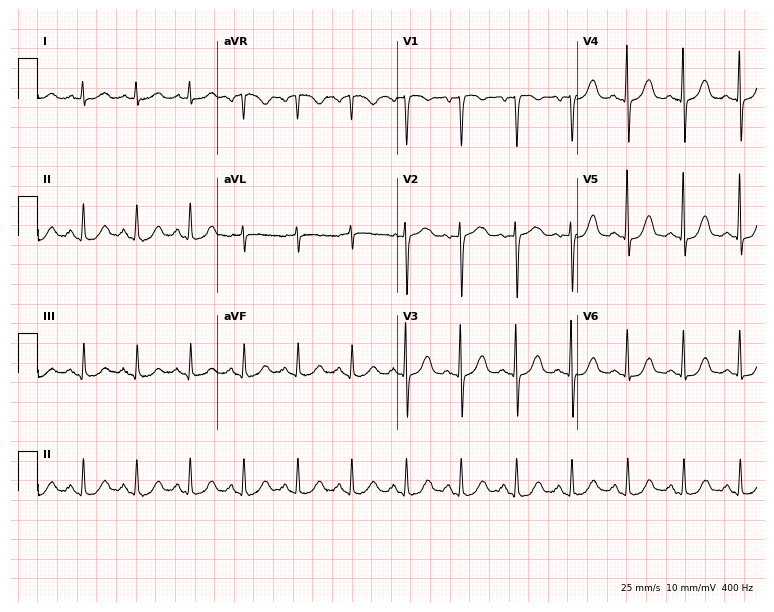
Standard 12-lead ECG recorded from a female, 53 years old. The tracing shows sinus tachycardia (a sinus rate of 100 beats per minute or more).